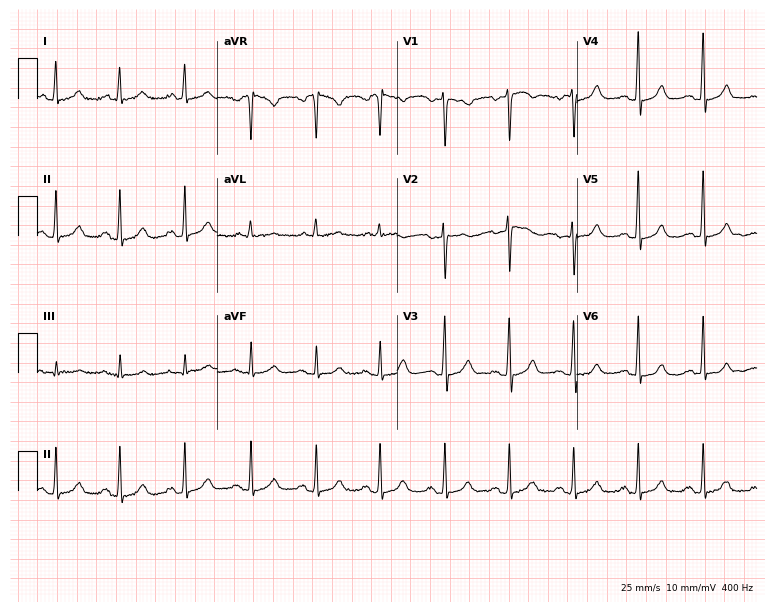
ECG — a 32-year-old female patient. Labelled as a normal ECG.